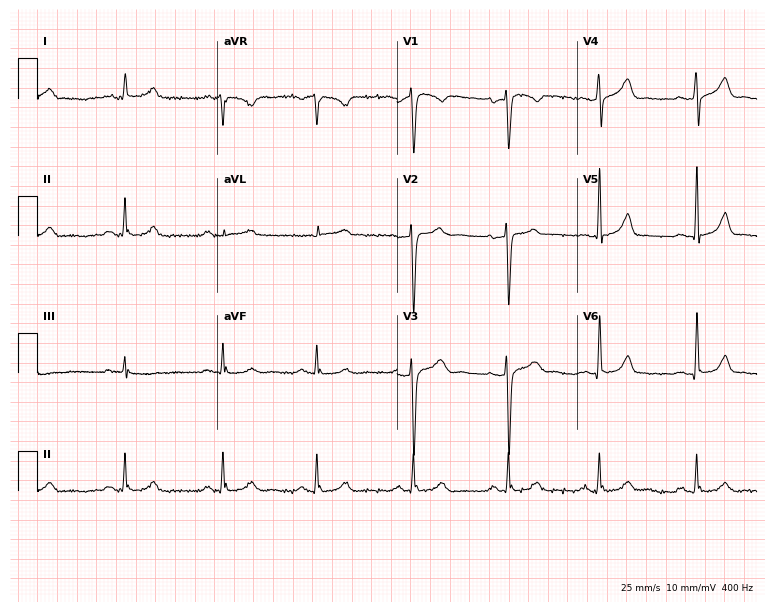
Resting 12-lead electrocardiogram (7.3-second recording at 400 Hz). Patient: a male, 30 years old. Read as a normal ECG.